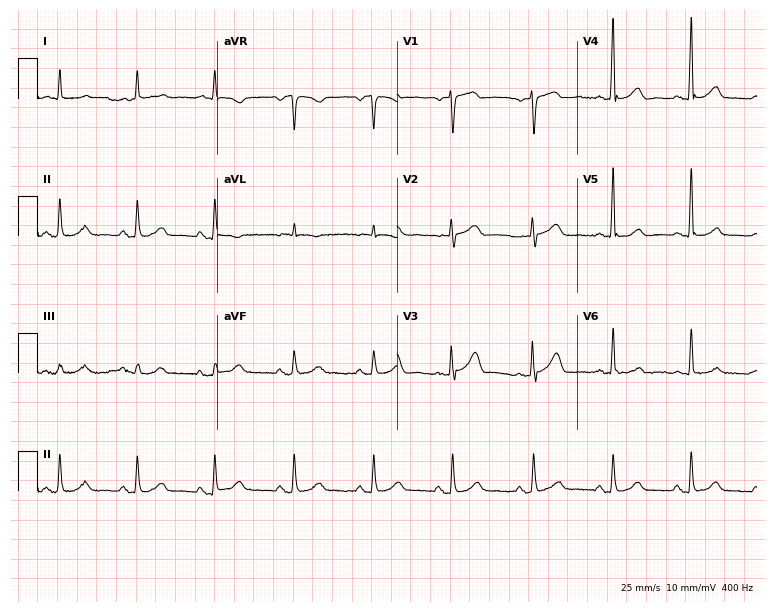
12-lead ECG (7.3-second recording at 400 Hz) from an 84-year-old male patient. Labelled as a normal ECG.